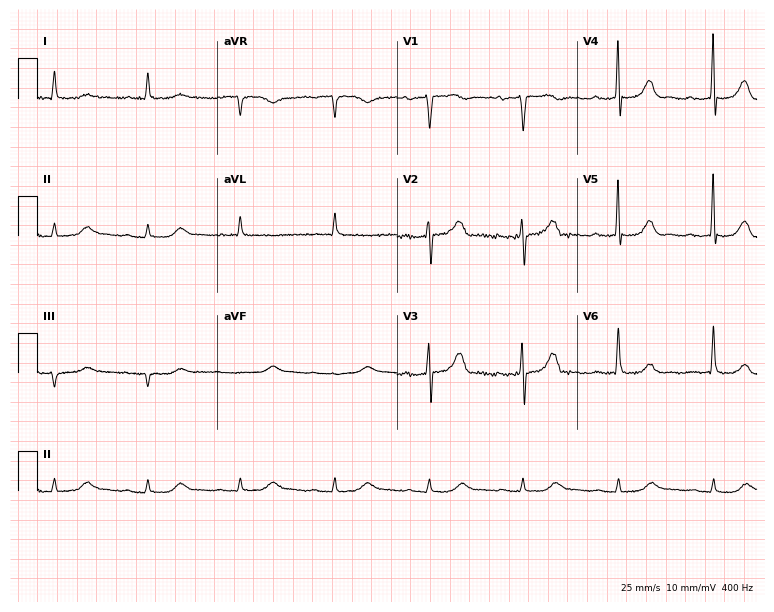
Electrocardiogram, an 84-year-old female patient. Of the six screened findings (first-degree AV block, right bundle branch block, left bundle branch block, sinus bradycardia, atrial fibrillation, sinus tachycardia), none is recorded.